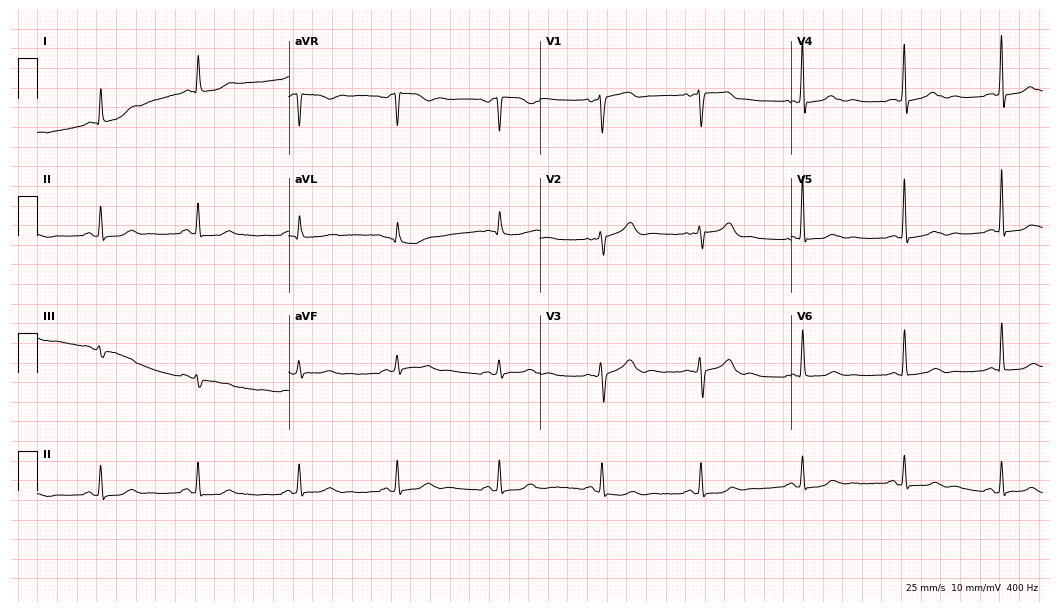
Electrocardiogram (10.2-second recording at 400 Hz), a 64-year-old woman. Overall reading on record: normal ECG.